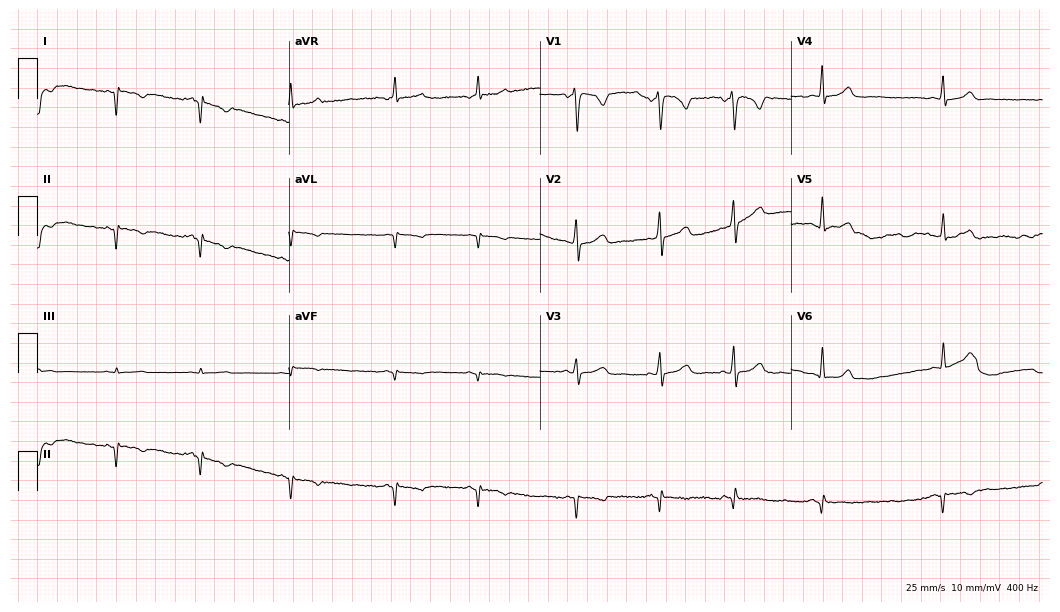
Resting 12-lead electrocardiogram. Patient: a female, 39 years old. None of these six findings is recorded: first-degree AV block, right bundle branch block, left bundle branch block, sinus bradycardia, atrial fibrillation, sinus tachycardia. Only these six findings were labelled.